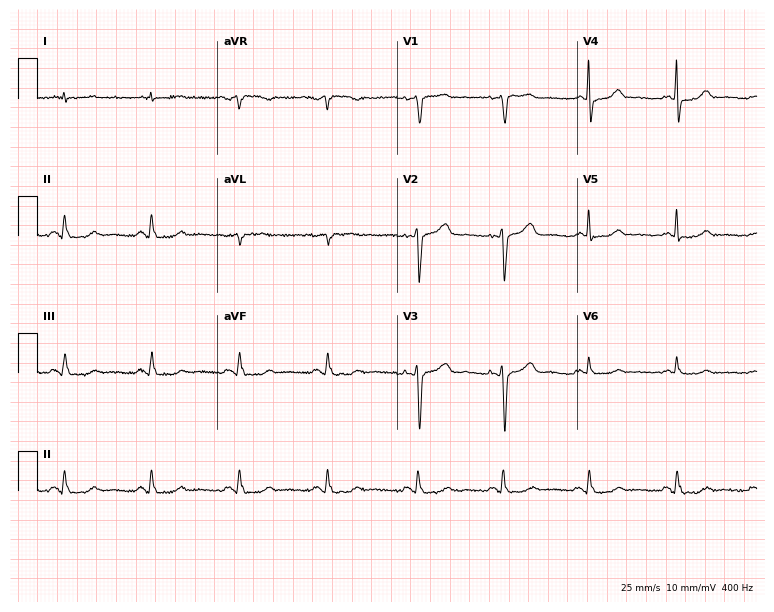
12-lead ECG from a woman, 63 years old (7.3-second recording at 400 Hz). Recorded interpretation: within normal limits.